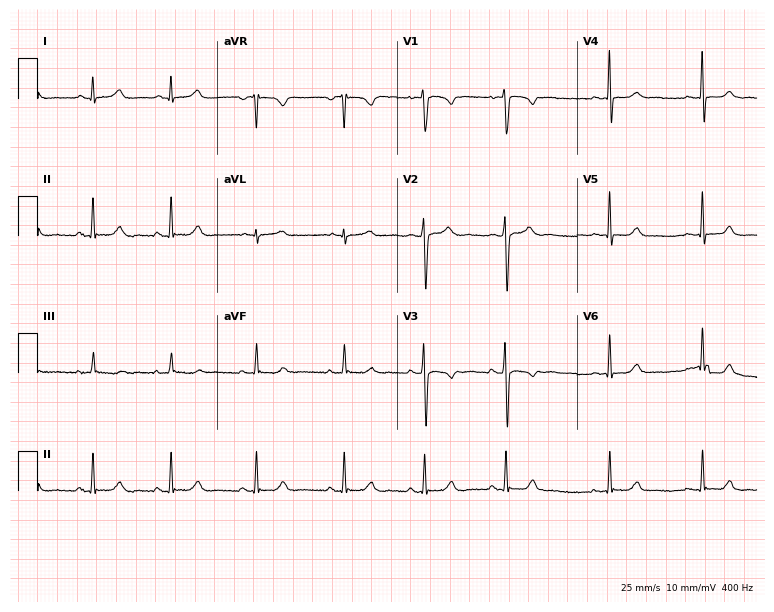
Electrocardiogram (7.3-second recording at 400 Hz), a 32-year-old woman. Overall reading on record: normal ECG.